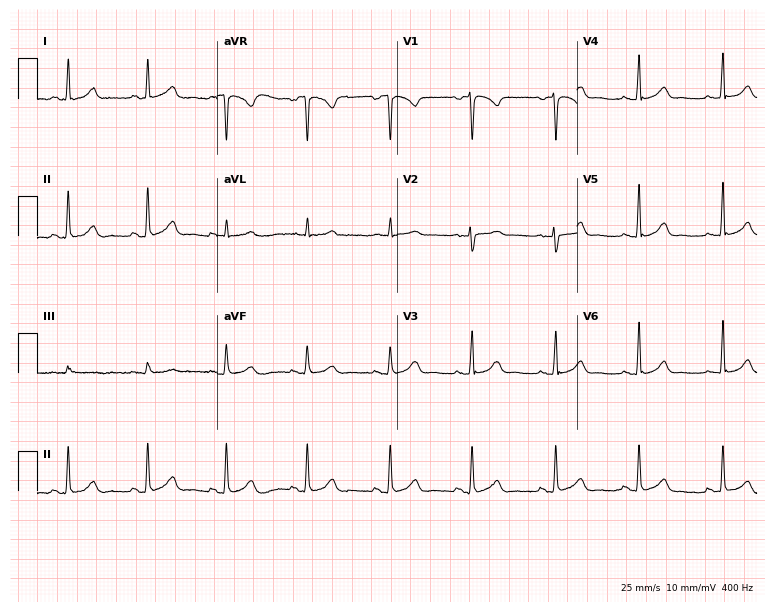
ECG — a woman, 46 years old. Labelled as a normal ECG.